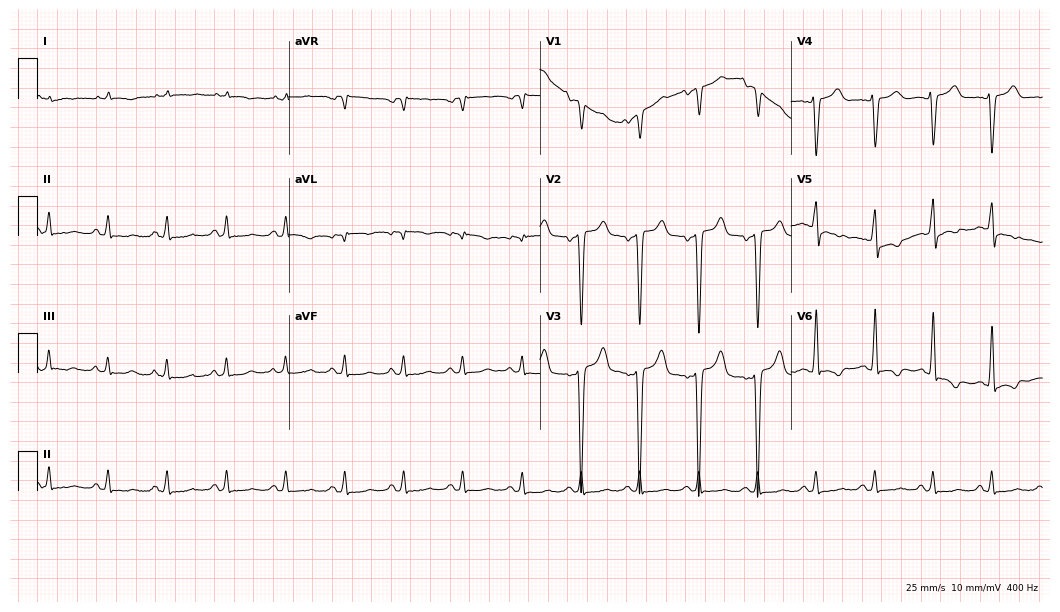
ECG — a 49-year-old male. Screened for six findings — first-degree AV block, right bundle branch block, left bundle branch block, sinus bradycardia, atrial fibrillation, sinus tachycardia — none is recorded.